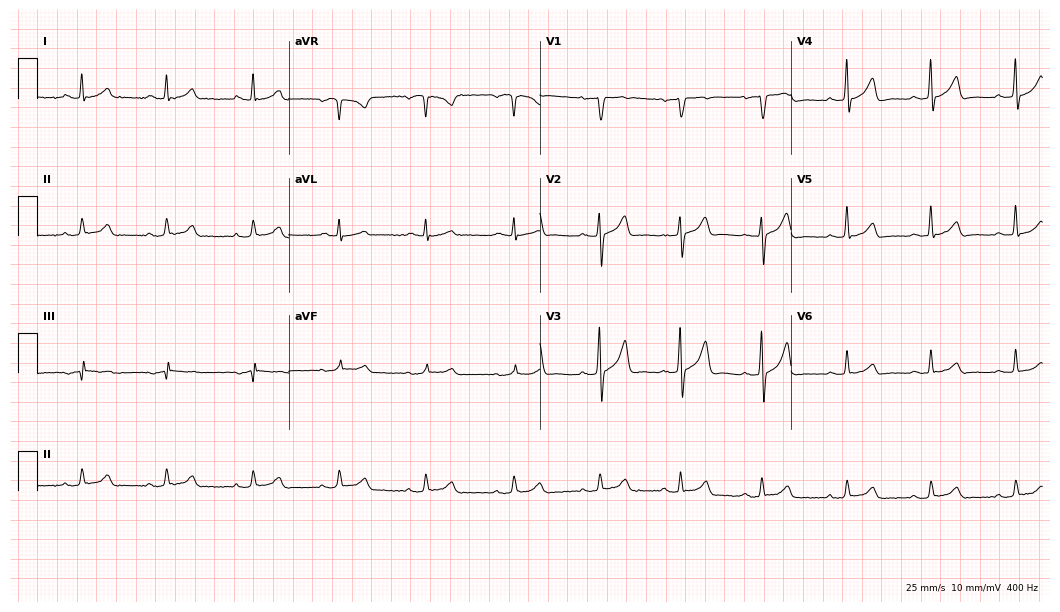
ECG (10.2-second recording at 400 Hz) — a 44-year-old male. Labelled as a normal ECG.